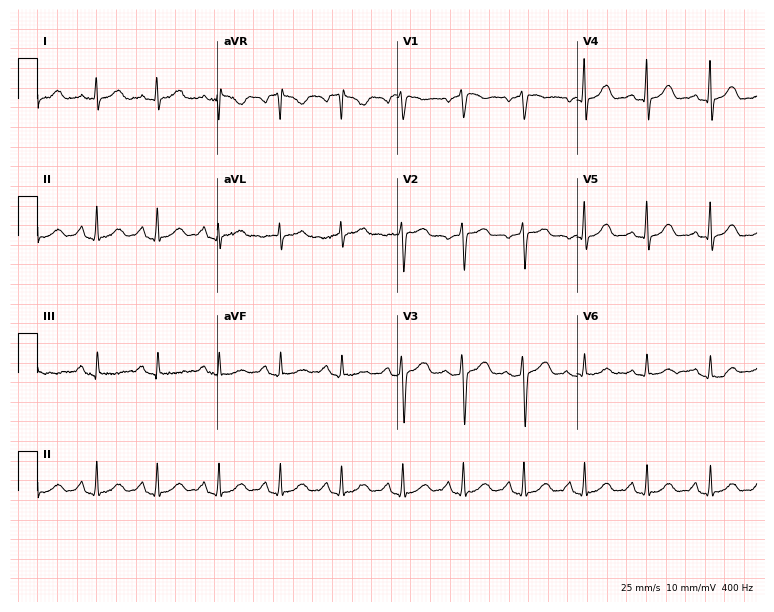
12-lead ECG from a female patient, 64 years old. Recorded interpretation: within normal limits.